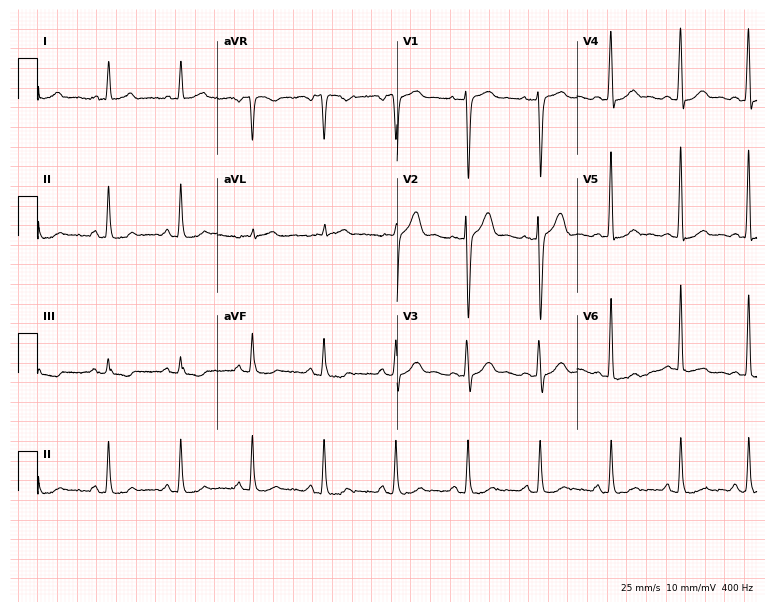
12-lead ECG (7.3-second recording at 400 Hz) from a 45-year-old man. Labelled as a normal ECG.